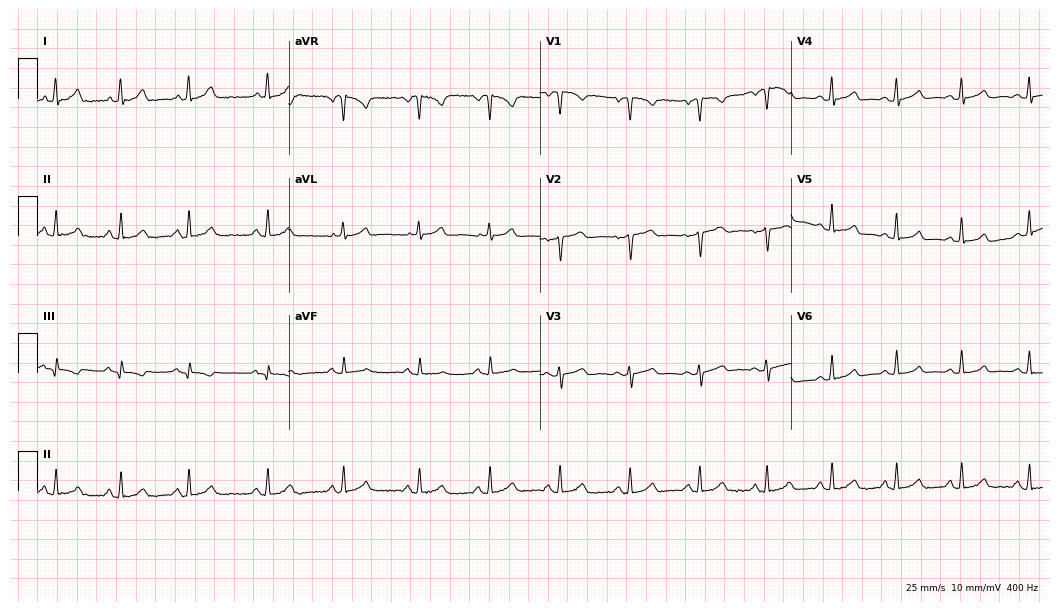
Resting 12-lead electrocardiogram (10.2-second recording at 400 Hz). Patient: a 32-year-old female. Read as a normal ECG.